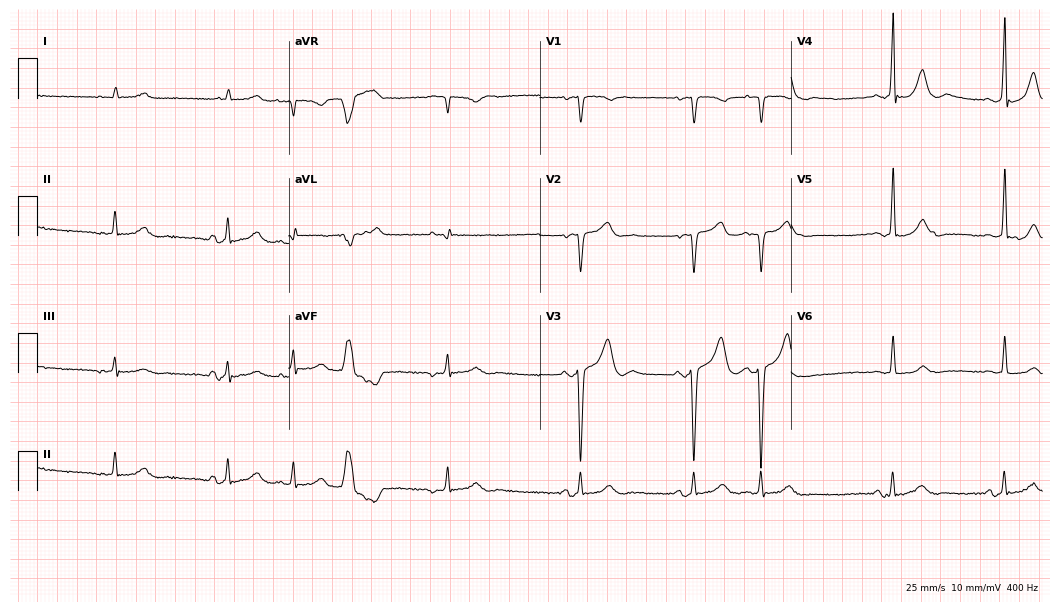
Standard 12-lead ECG recorded from an 81-year-old male (10.2-second recording at 400 Hz). None of these six findings is recorded: first-degree AV block, right bundle branch block, left bundle branch block, sinus bradycardia, atrial fibrillation, sinus tachycardia. Other findings, if any, are not listed.